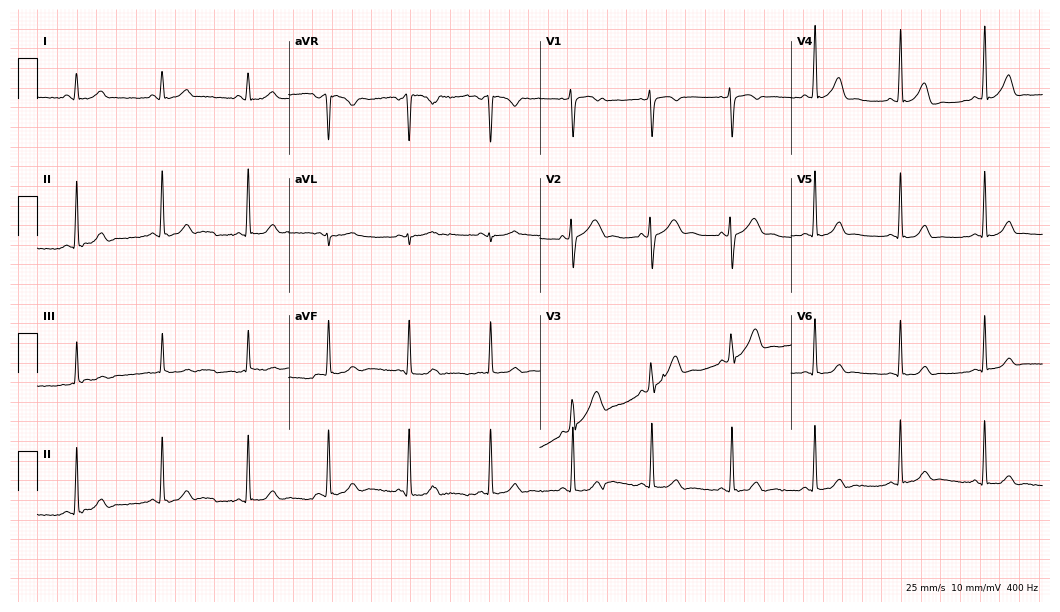
ECG — a female patient, 19 years old. Labelled as a normal ECG.